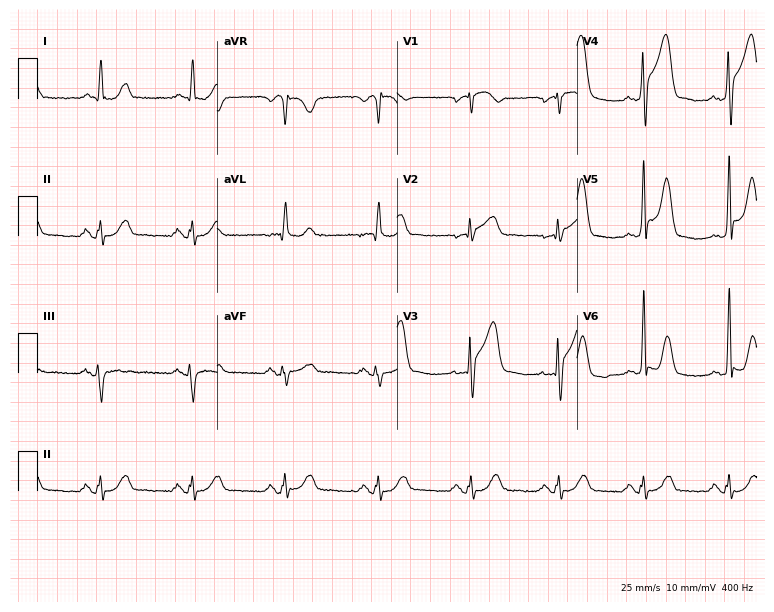
Resting 12-lead electrocardiogram (7.3-second recording at 400 Hz). Patient: a 62-year-old man. None of these six findings is recorded: first-degree AV block, right bundle branch block (RBBB), left bundle branch block (LBBB), sinus bradycardia, atrial fibrillation (AF), sinus tachycardia. Other findings, if any, are not listed.